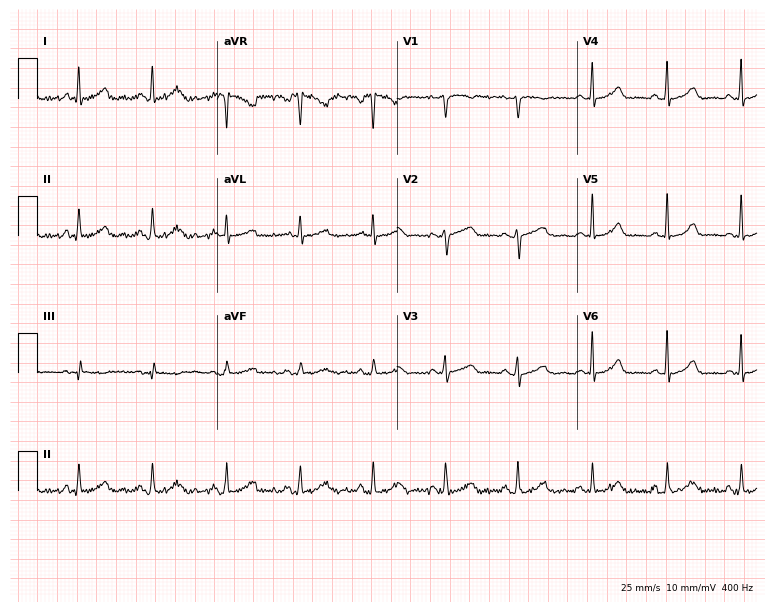
Resting 12-lead electrocardiogram (7.3-second recording at 400 Hz). Patient: a 48-year-old female. Read as a normal ECG.